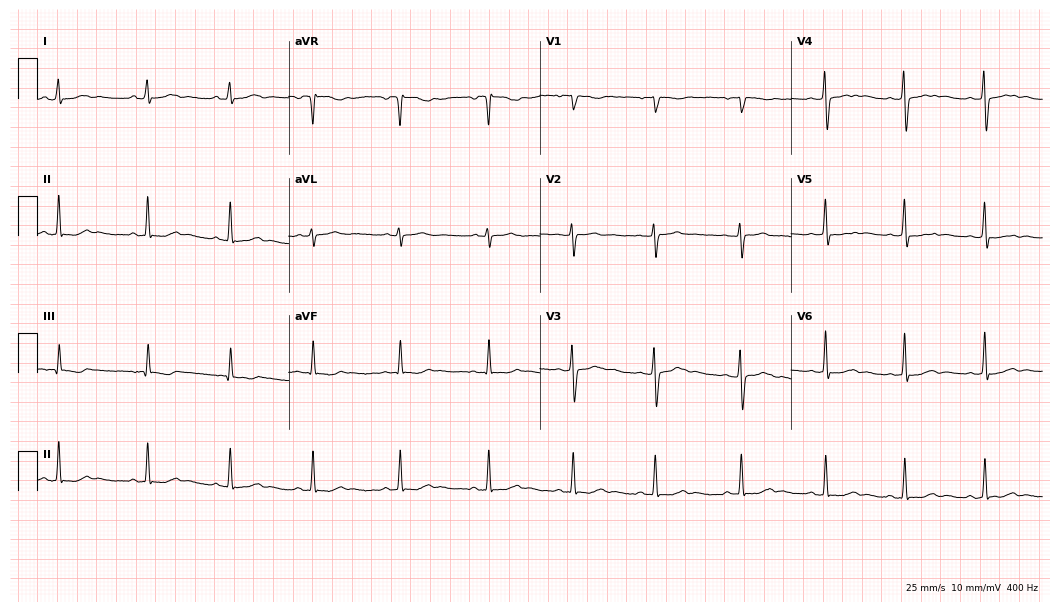
Resting 12-lead electrocardiogram (10.2-second recording at 400 Hz). Patient: a 27-year-old woman. None of these six findings is recorded: first-degree AV block, right bundle branch block, left bundle branch block, sinus bradycardia, atrial fibrillation, sinus tachycardia. Other findings, if any, are not listed.